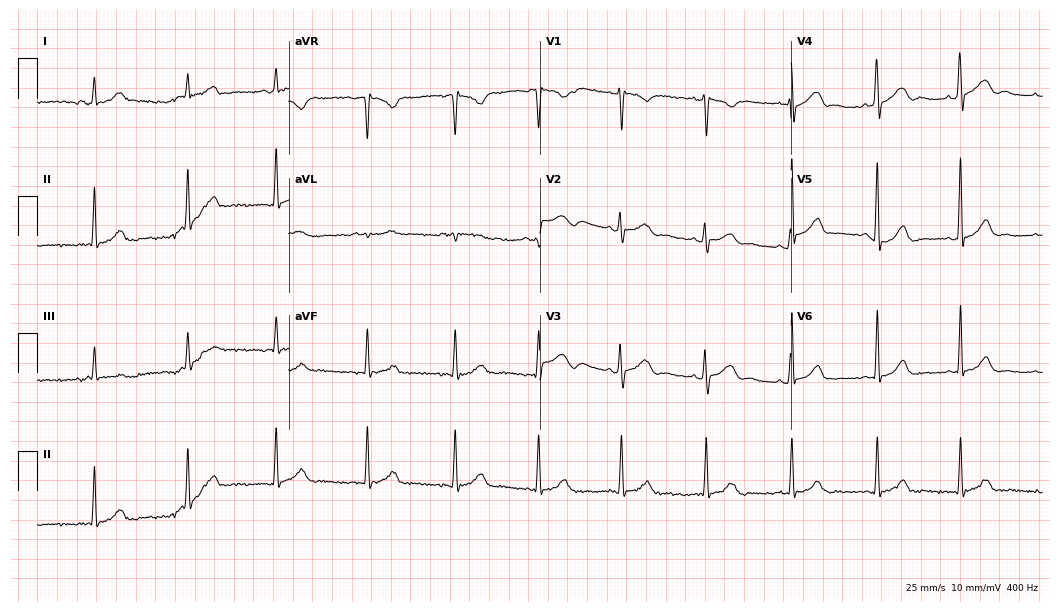
12-lead ECG from a female patient, 26 years old. Labelled as a normal ECG.